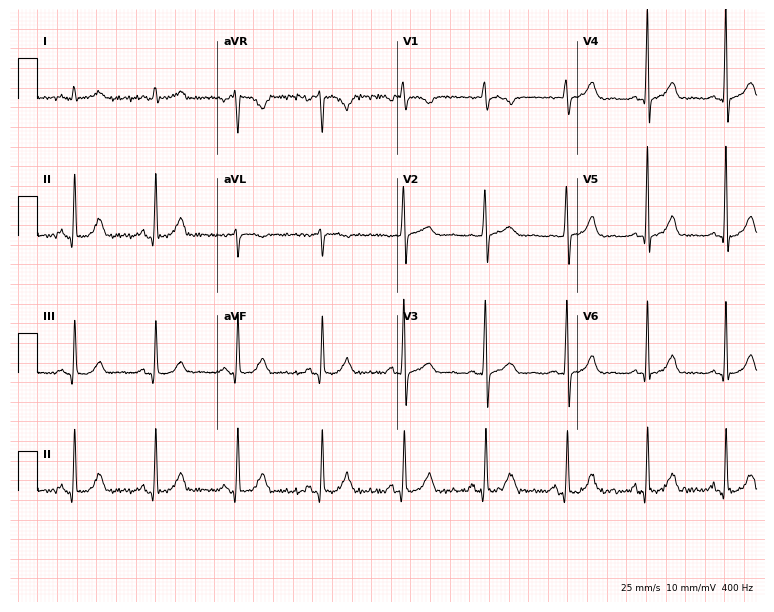
Electrocardiogram (7.3-second recording at 400 Hz), a female patient, 45 years old. Overall reading on record: normal ECG.